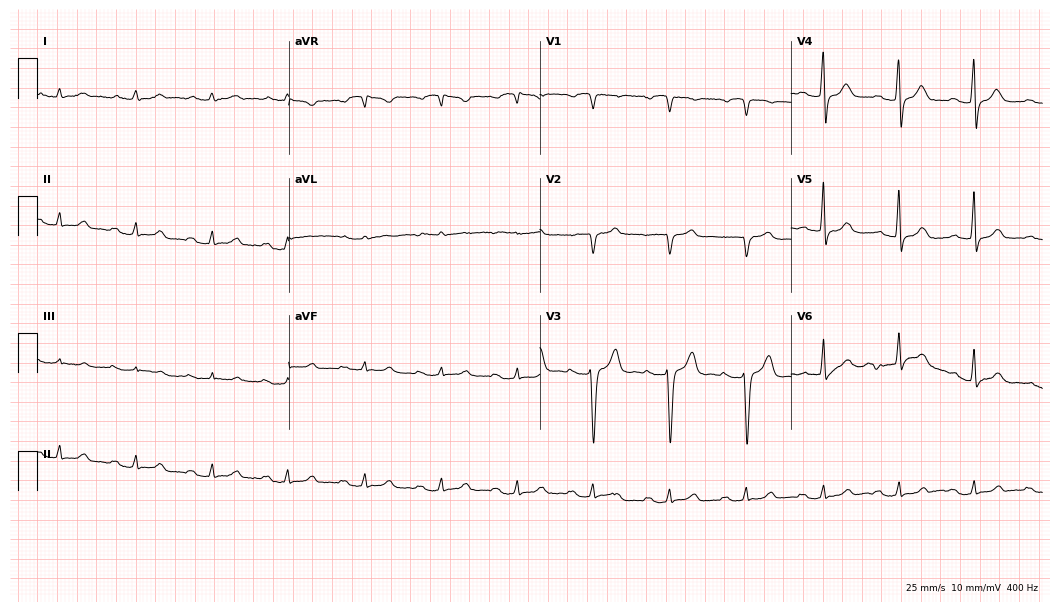
12-lead ECG from a 66-year-old male. No first-degree AV block, right bundle branch block, left bundle branch block, sinus bradycardia, atrial fibrillation or sinus tachycardia recorded for this tracing. Only these six findings were labelled.